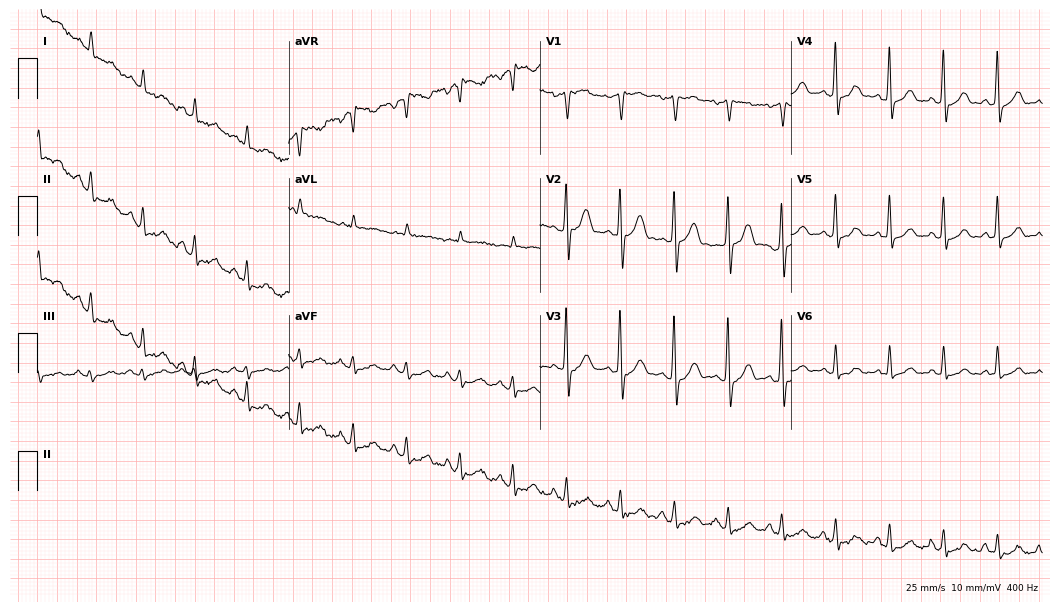
Standard 12-lead ECG recorded from a man, 75 years old (10.2-second recording at 400 Hz). The tracing shows sinus tachycardia (a sinus rate of 100 beats per minute or more).